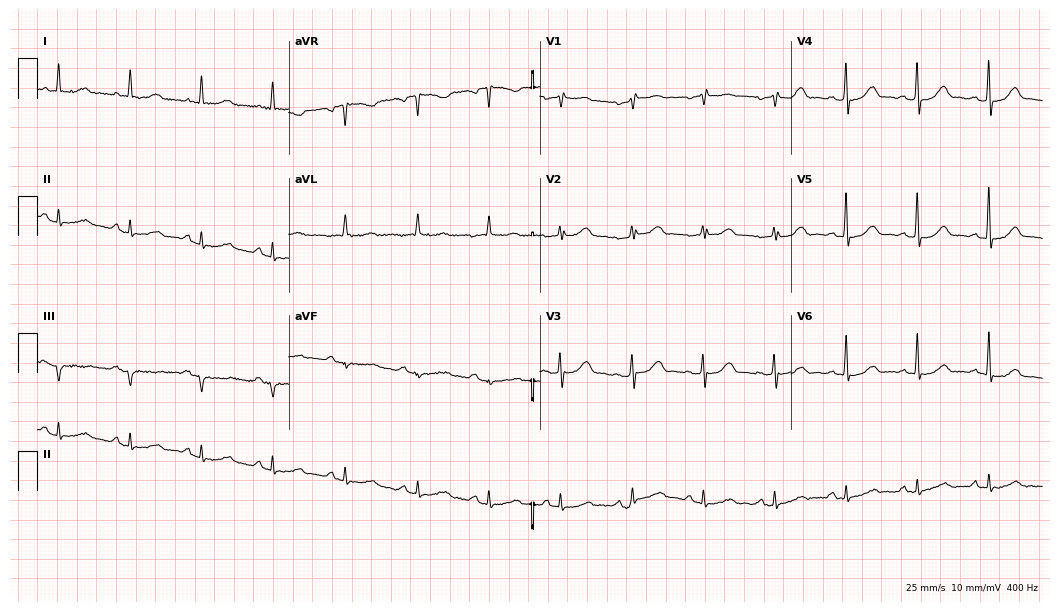
Standard 12-lead ECG recorded from a woman, 72 years old. None of these six findings is recorded: first-degree AV block, right bundle branch block (RBBB), left bundle branch block (LBBB), sinus bradycardia, atrial fibrillation (AF), sinus tachycardia. Findings outside these six are not listed.